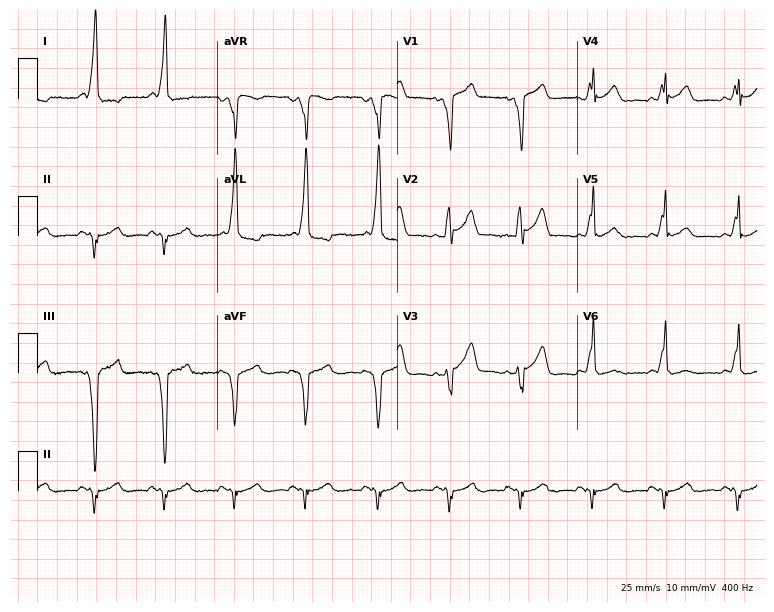
Resting 12-lead electrocardiogram. Patient: a woman, 51 years old. None of these six findings is recorded: first-degree AV block, right bundle branch block, left bundle branch block, sinus bradycardia, atrial fibrillation, sinus tachycardia.